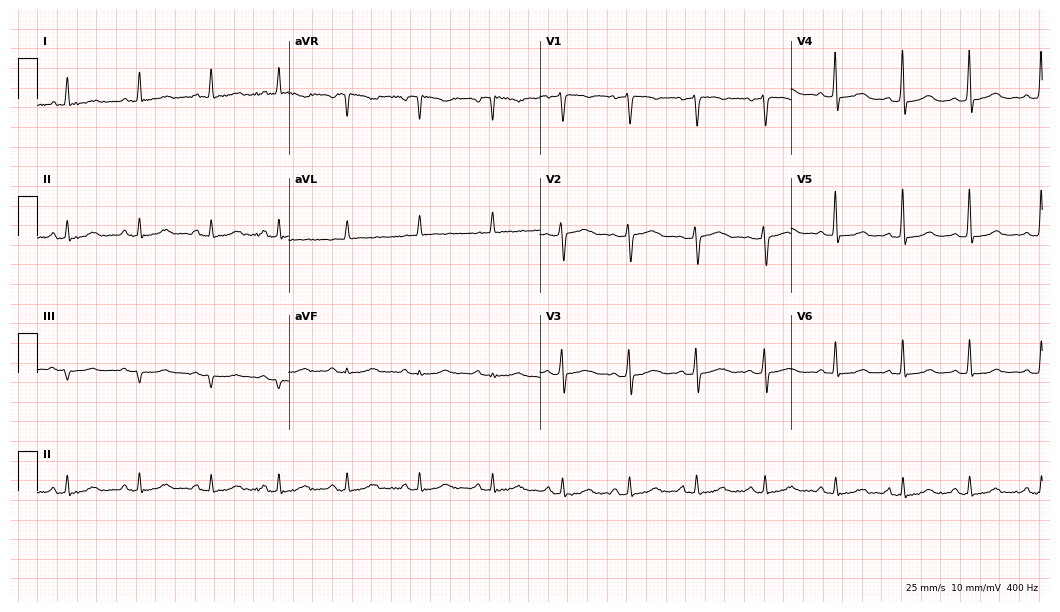
Resting 12-lead electrocardiogram (10.2-second recording at 400 Hz). Patient: a 58-year-old female. None of these six findings is recorded: first-degree AV block, right bundle branch block, left bundle branch block, sinus bradycardia, atrial fibrillation, sinus tachycardia.